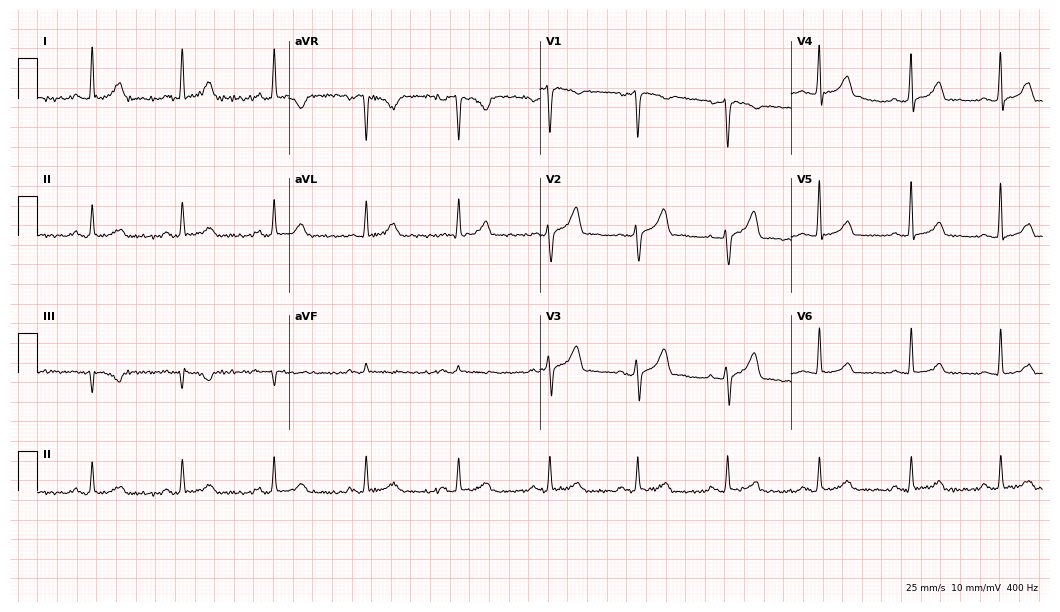
Electrocardiogram, a 51-year-old male. Overall reading on record: normal ECG.